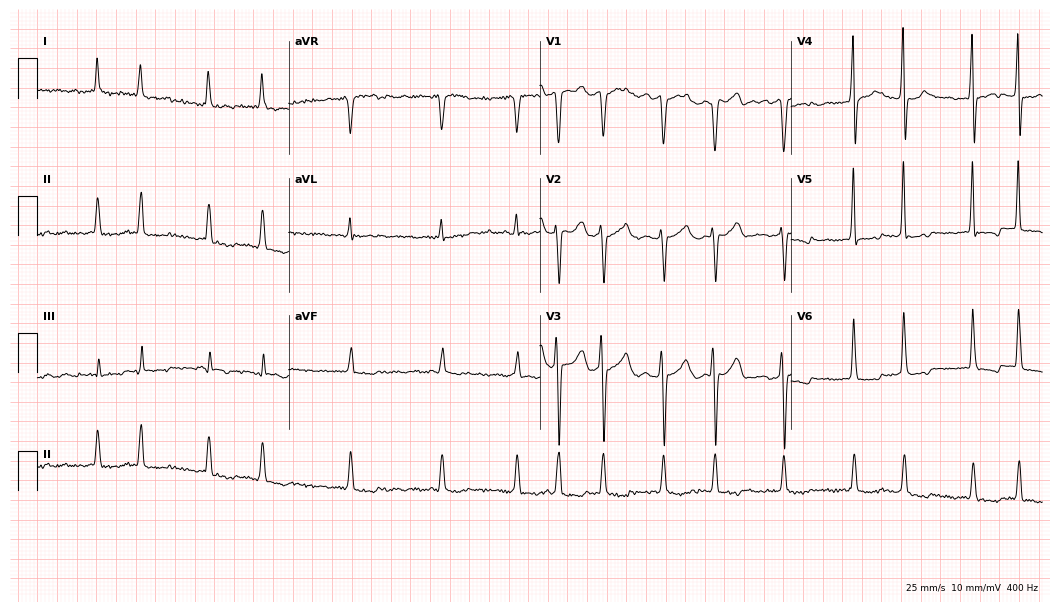
Resting 12-lead electrocardiogram. Patient: a male, 69 years old. The tracing shows atrial fibrillation.